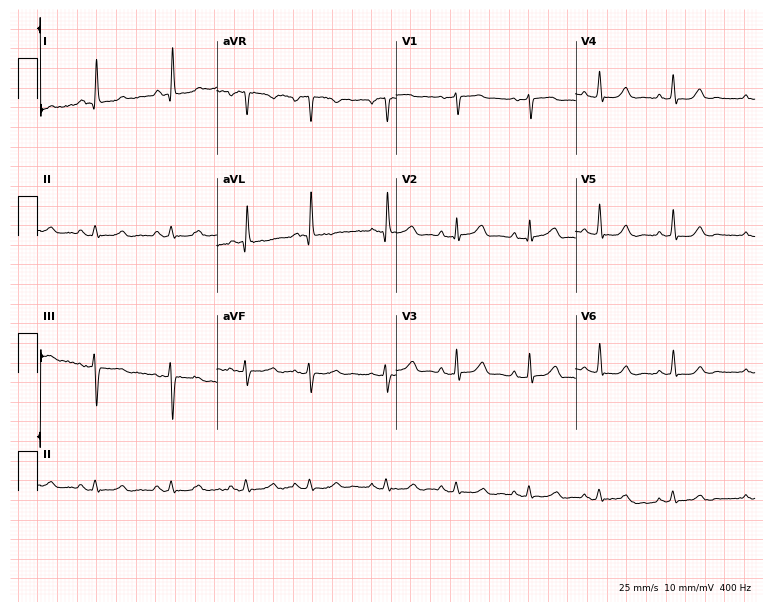
Electrocardiogram (7.3-second recording at 400 Hz), a woman, 75 years old. Of the six screened findings (first-degree AV block, right bundle branch block, left bundle branch block, sinus bradycardia, atrial fibrillation, sinus tachycardia), none is recorded. Findings outside these six are not listed.